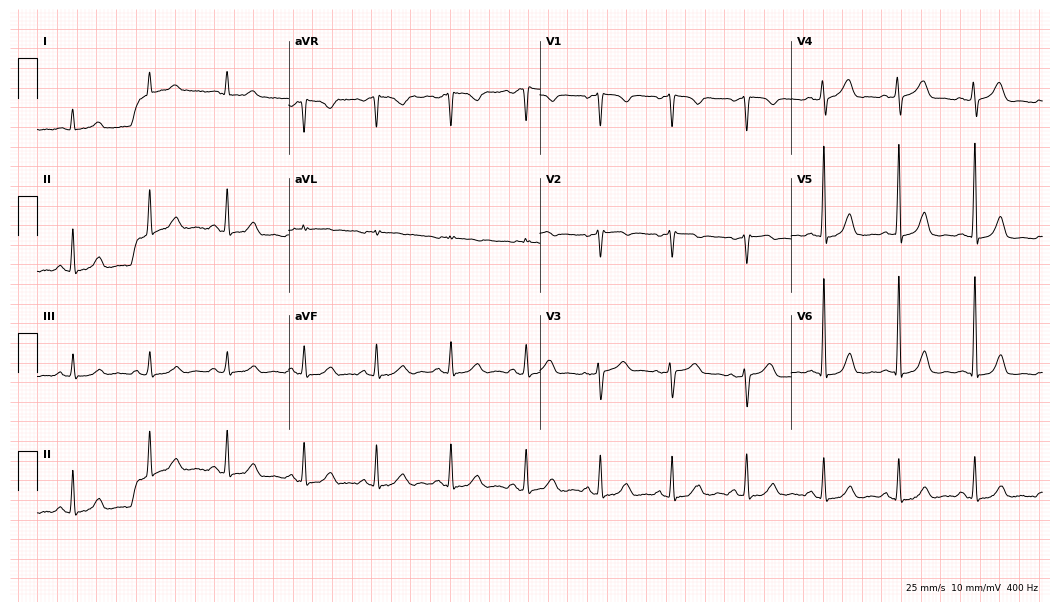
Standard 12-lead ECG recorded from a female, 38 years old. Read as a normal ECG.